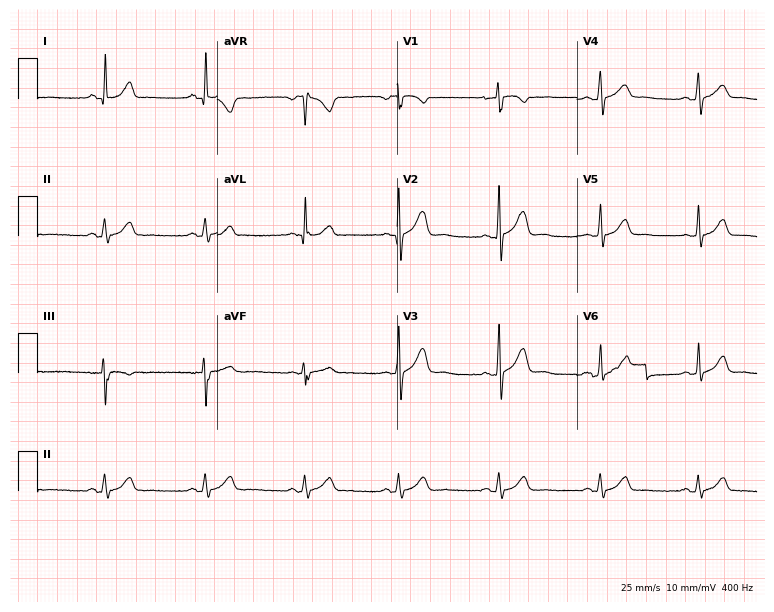
12-lead ECG from a female patient, 37 years old. Recorded interpretation: within normal limits.